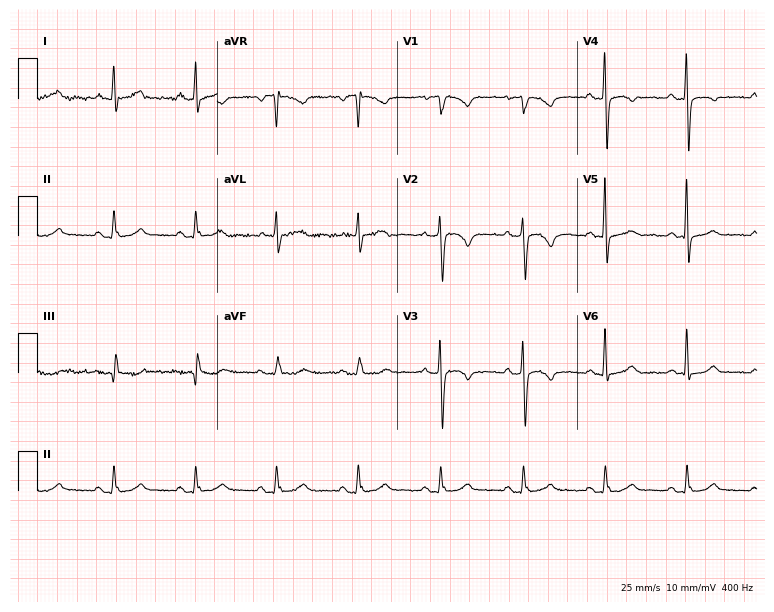
ECG — a 65-year-old female. Screened for six findings — first-degree AV block, right bundle branch block, left bundle branch block, sinus bradycardia, atrial fibrillation, sinus tachycardia — none is recorded.